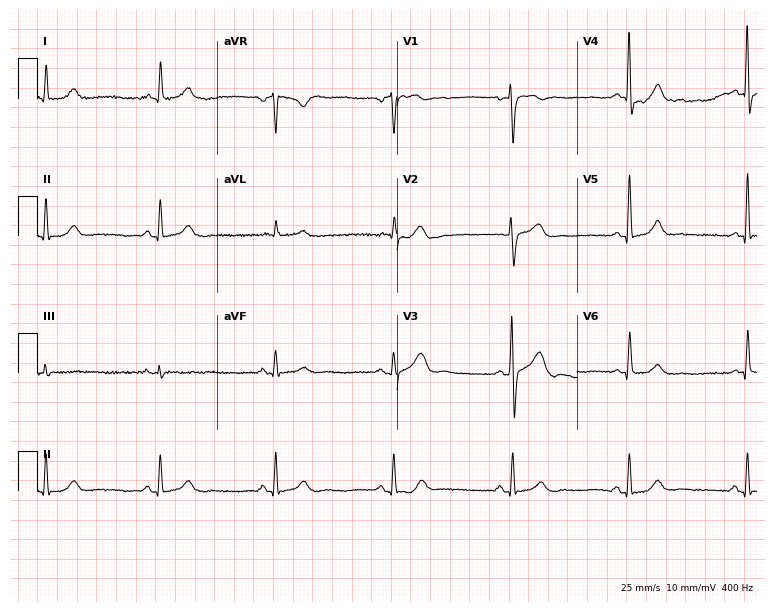
Standard 12-lead ECG recorded from a man, 48 years old (7.3-second recording at 400 Hz). Read as a normal ECG.